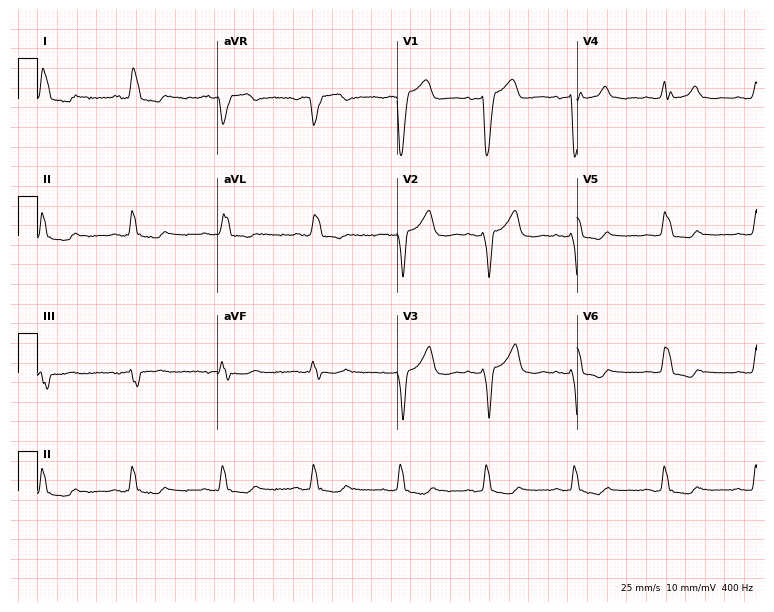
Resting 12-lead electrocardiogram. Patient: a female, 66 years old. The tracing shows left bundle branch block.